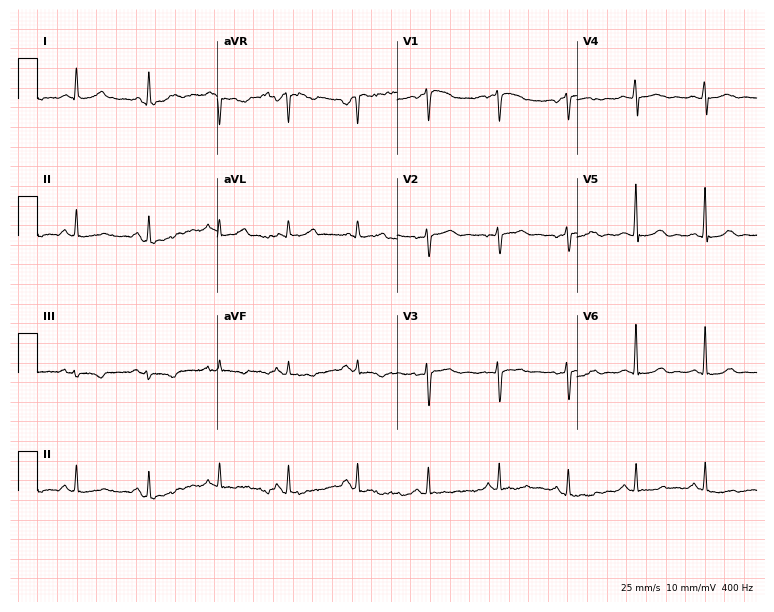
Electrocardiogram, a 58-year-old female. Of the six screened findings (first-degree AV block, right bundle branch block, left bundle branch block, sinus bradycardia, atrial fibrillation, sinus tachycardia), none is recorded. Findings outside these six are not listed.